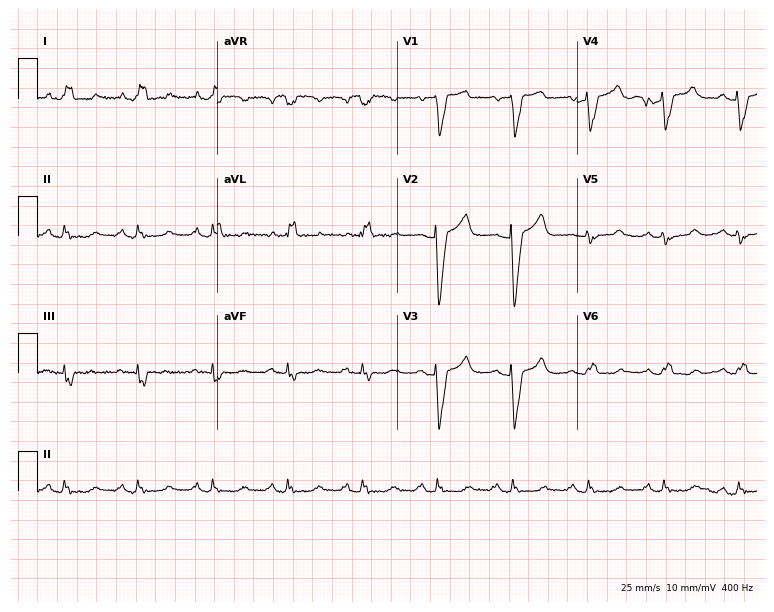
Resting 12-lead electrocardiogram (7.3-second recording at 400 Hz). Patient: a female, 64 years old. The tracing shows left bundle branch block (LBBB).